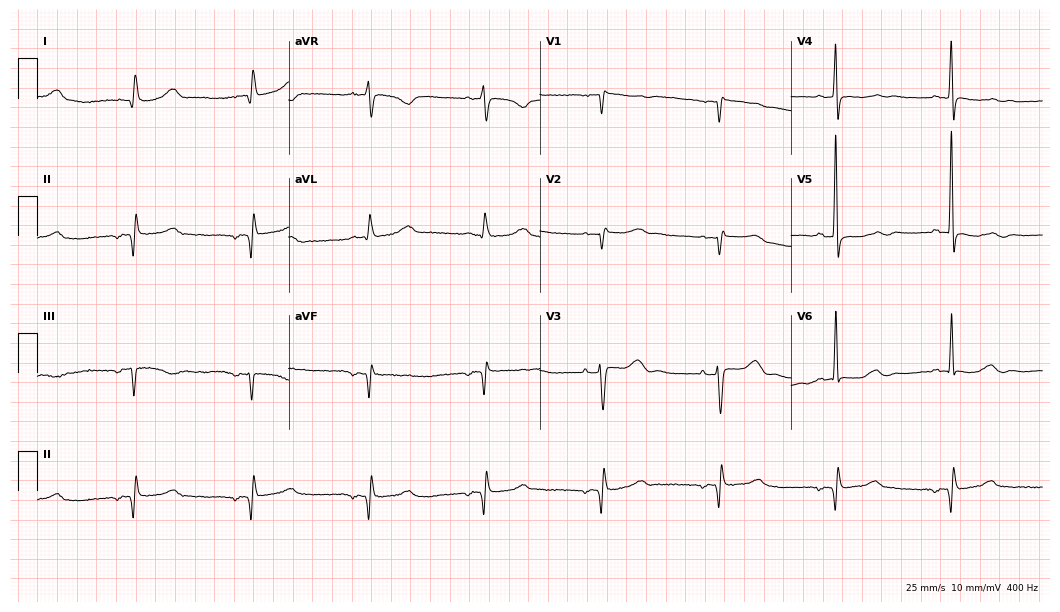
Resting 12-lead electrocardiogram. Patient: a female, 78 years old. None of these six findings is recorded: first-degree AV block, right bundle branch block, left bundle branch block, sinus bradycardia, atrial fibrillation, sinus tachycardia. Other findings, if any, are not listed.